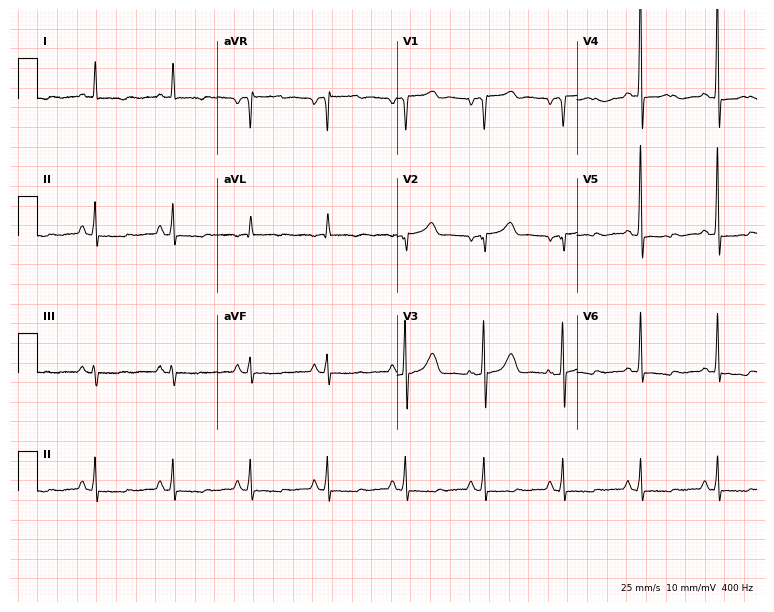
Standard 12-lead ECG recorded from a man, 75 years old. None of these six findings is recorded: first-degree AV block, right bundle branch block (RBBB), left bundle branch block (LBBB), sinus bradycardia, atrial fibrillation (AF), sinus tachycardia.